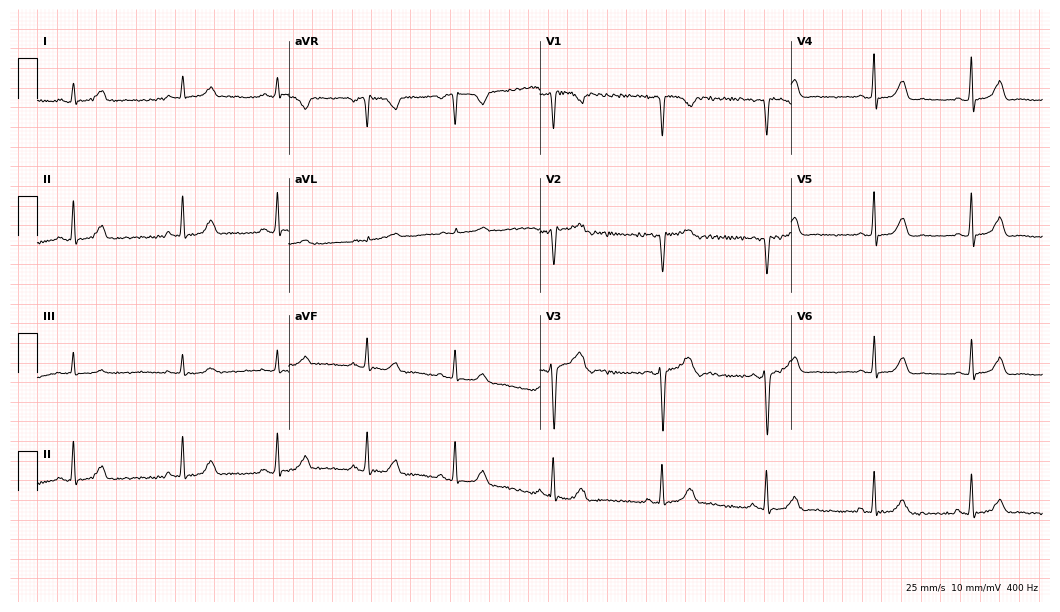
Standard 12-lead ECG recorded from a woman, 27 years old (10.2-second recording at 400 Hz). None of these six findings is recorded: first-degree AV block, right bundle branch block, left bundle branch block, sinus bradycardia, atrial fibrillation, sinus tachycardia. Only these six findings were labelled.